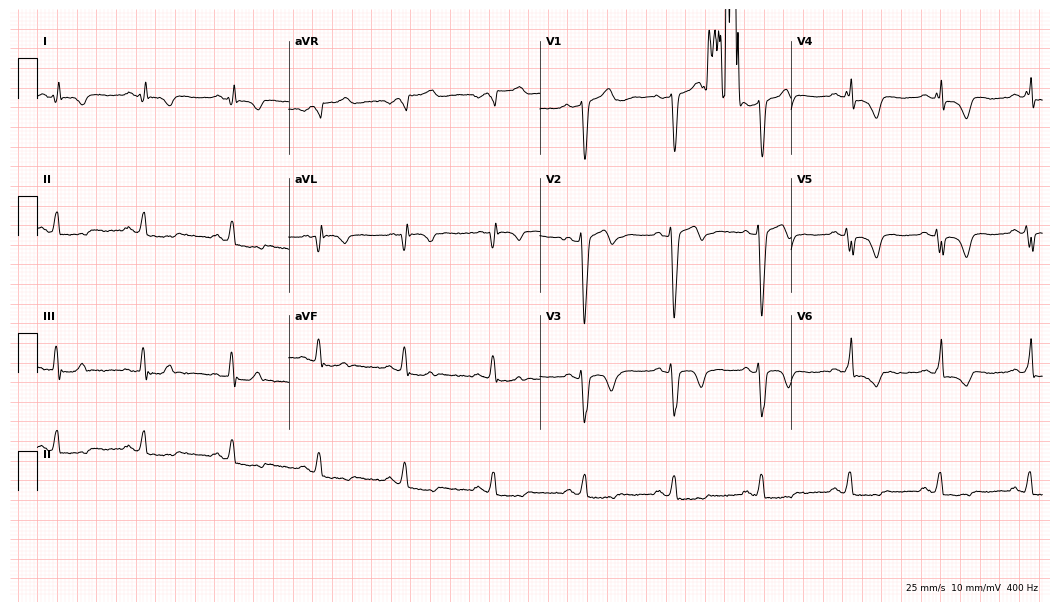
Standard 12-lead ECG recorded from a man, 67 years old. The tracing shows left bundle branch block (LBBB).